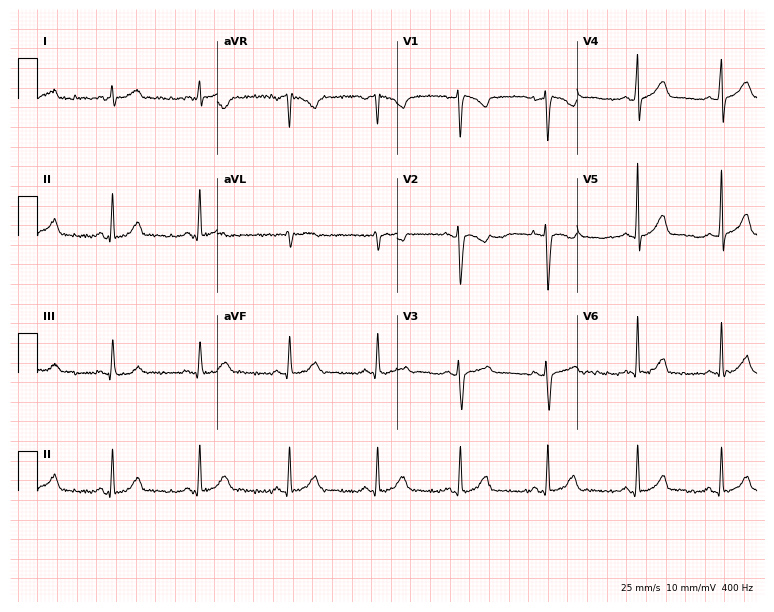
12-lead ECG from a 27-year-old woman. Recorded interpretation: within normal limits.